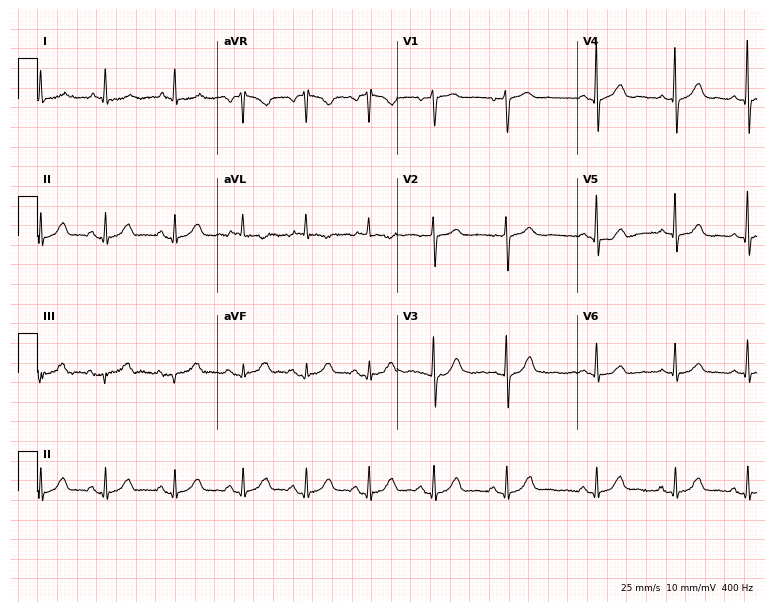
12-lead ECG from a 61-year-old female patient (7.3-second recording at 400 Hz). No first-degree AV block, right bundle branch block, left bundle branch block, sinus bradycardia, atrial fibrillation or sinus tachycardia recorded for this tracing. Other findings, if any, are not listed.